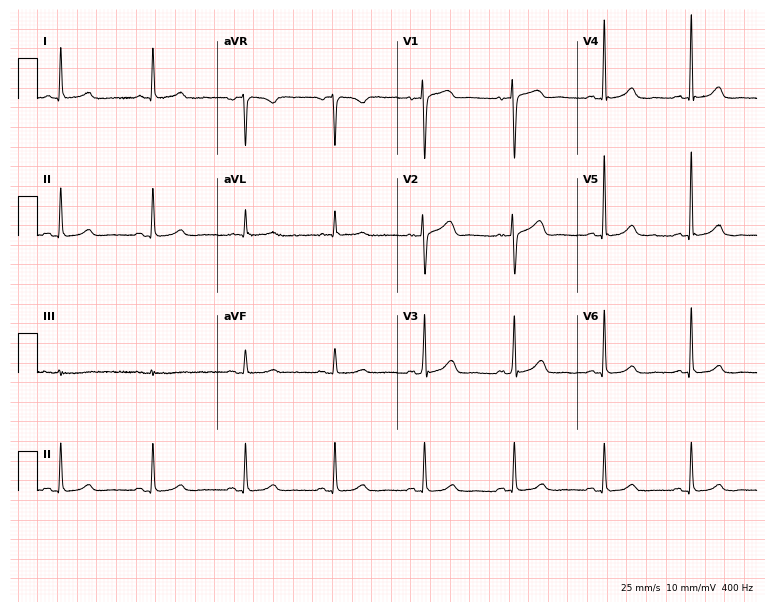
ECG — a female patient, 72 years old. Screened for six findings — first-degree AV block, right bundle branch block, left bundle branch block, sinus bradycardia, atrial fibrillation, sinus tachycardia — none is recorded. Findings outside these six are not listed.